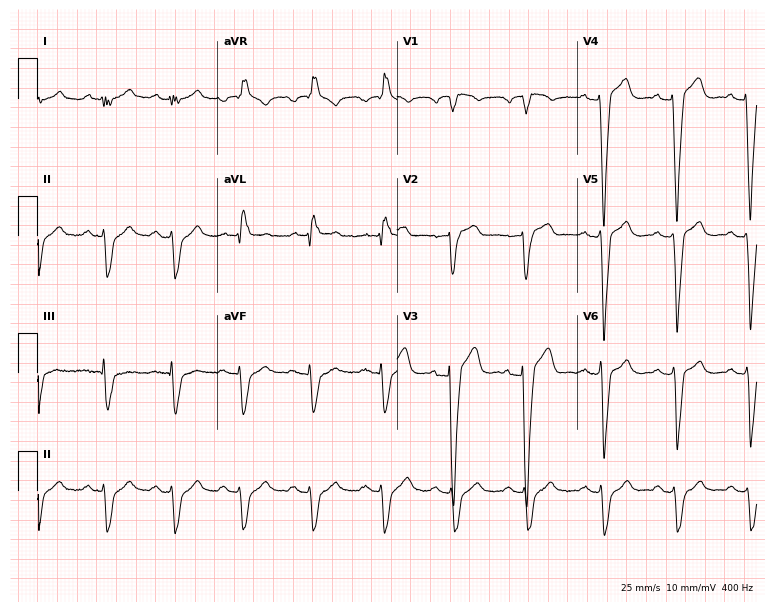
Standard 12-lead ECG recorded from a 66-year-old man. The tracing shows left bundle branch block (LBBB).